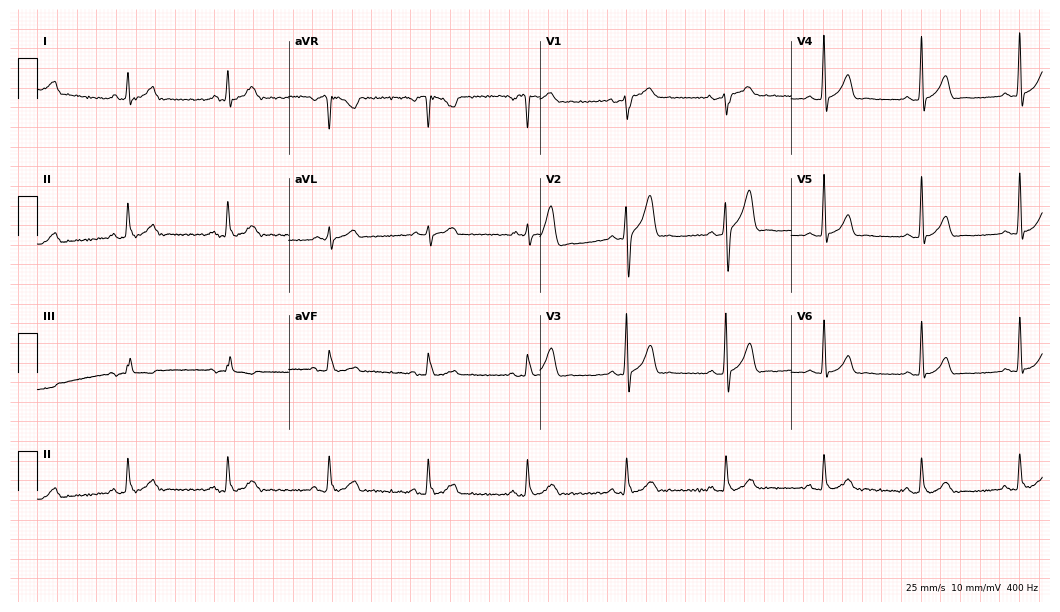
Standard 12-lead ECG recorded from a male patient, 57 years old (10.2-second recording at 400 Hz). Read as a normal ECG.